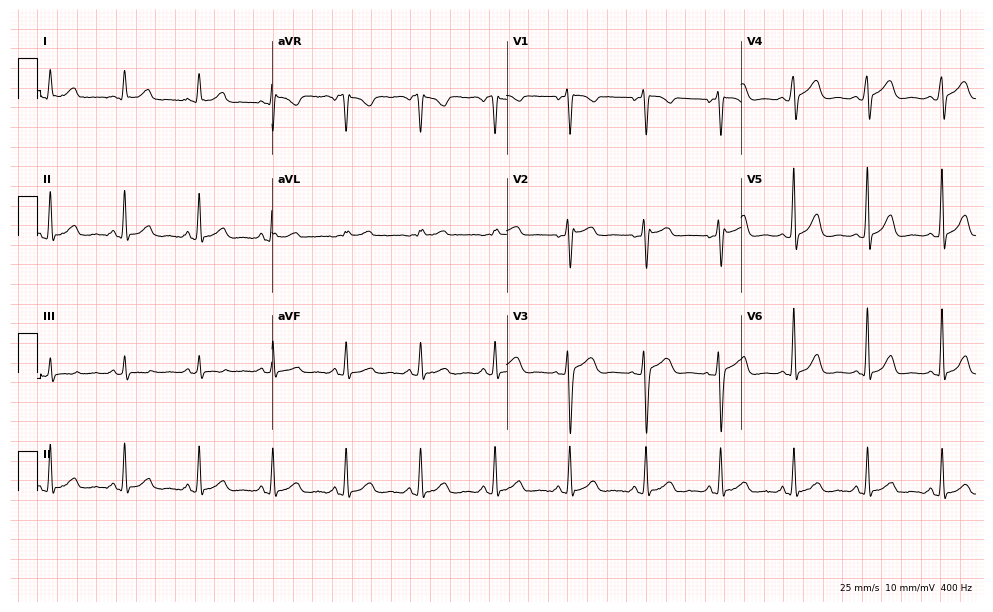
12-lead ECG from a 38-year-old woman (9.6-second recording at 400 Hz). Recorded interpretation: within normal limits.